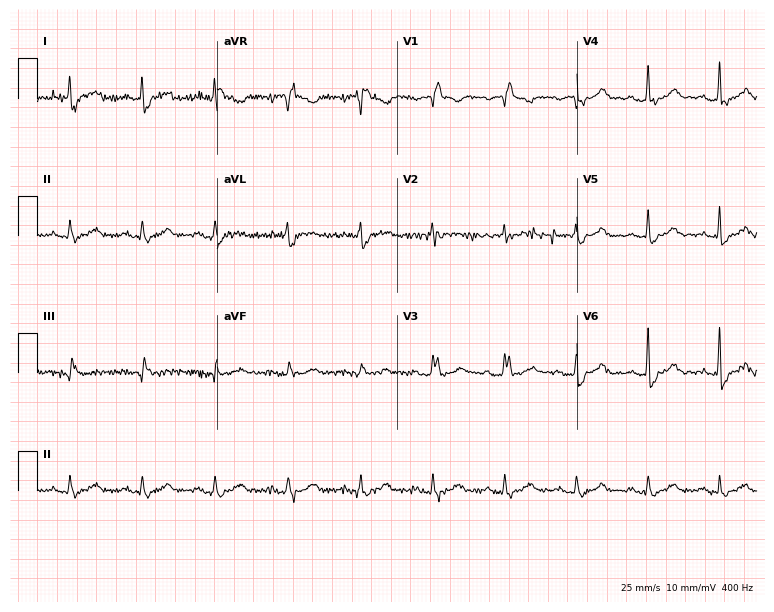
Resting 12-lead electrocardiogram. Patient: a male, 64 years old. The tracing shows right bundle branch block (RBBB).